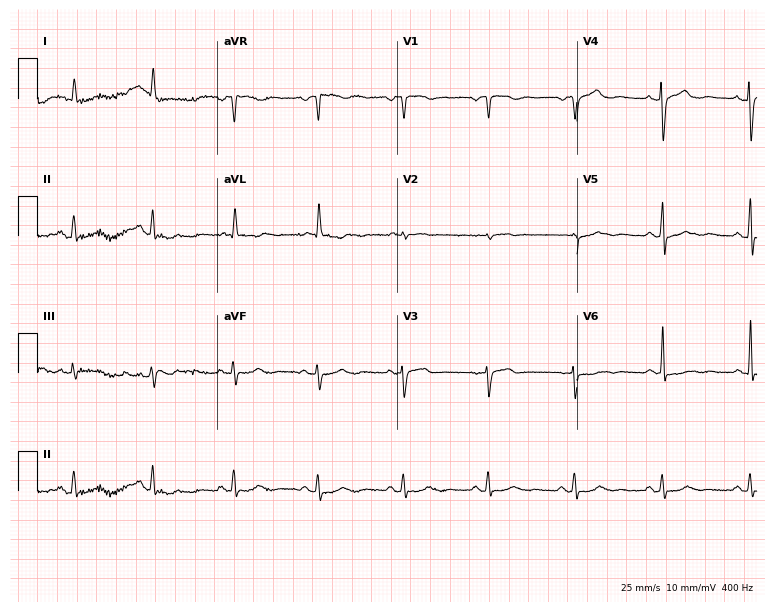
12-lead ECG from a 74-year-old female. Screened for six findings — first-degree AV block, right bundle branch block, left bundle branch block, sinus bradycardia, atrial fibrillation, sinus tachycardia — none is recorded. Only these six findings were labelled.